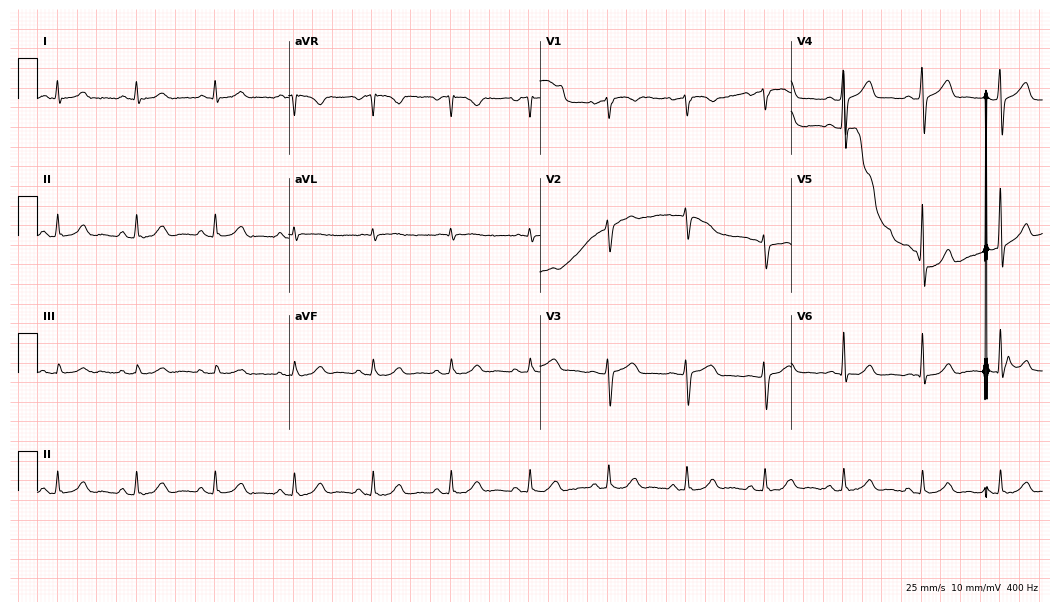
Resting 12-lead electrocardiogram (10.2-second recording at 400 Hz). Patient: a male, 63 years old. Read as a normal ECG.